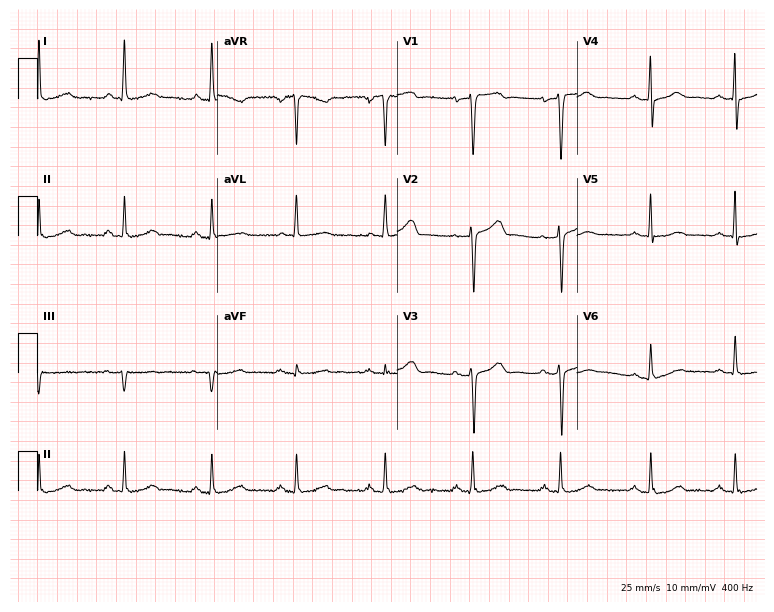
Resting 12-lead electrocardiogram. Patient: a woman, 50 years old. None of these six findings is recorded: first-degree AV block, right bundle branch block (RBBB), left bundle branch block (LBBB), sinus bradycardia, atrial fibrillation (AF), sinus tachycardia.